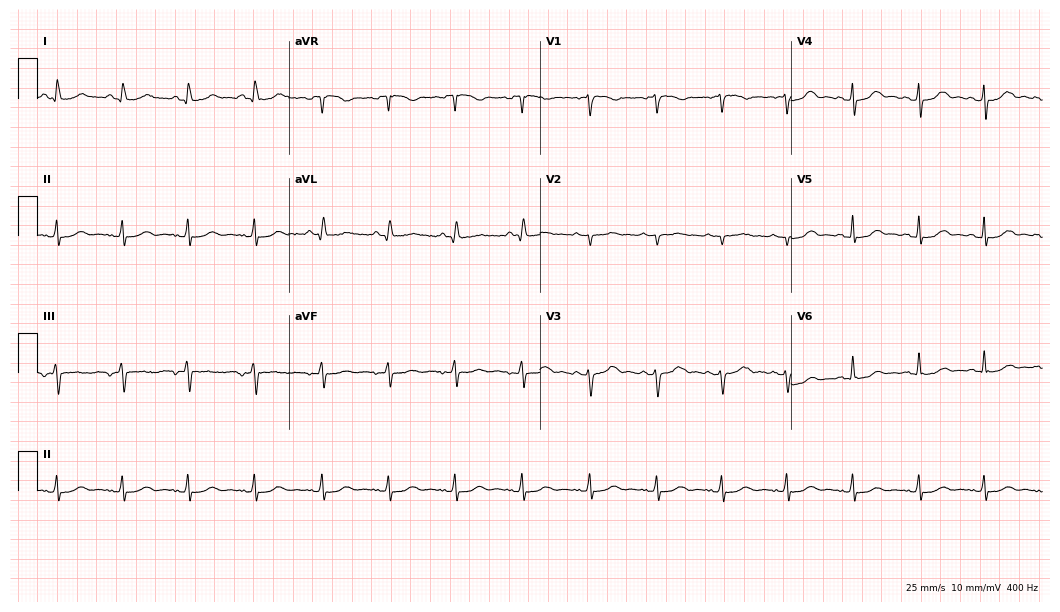
ECG (10.2-second recording at 400 Hz) — a female patient, 44 years old. Screened for six findings — first-degree AV block, right bundle branch block (RBBB), left bundle branch block (LBBB), sinus bradycardia, atrial fibrillation (AF), sinus tachycardia — none is recorded. Other findings, if any, are not listed.